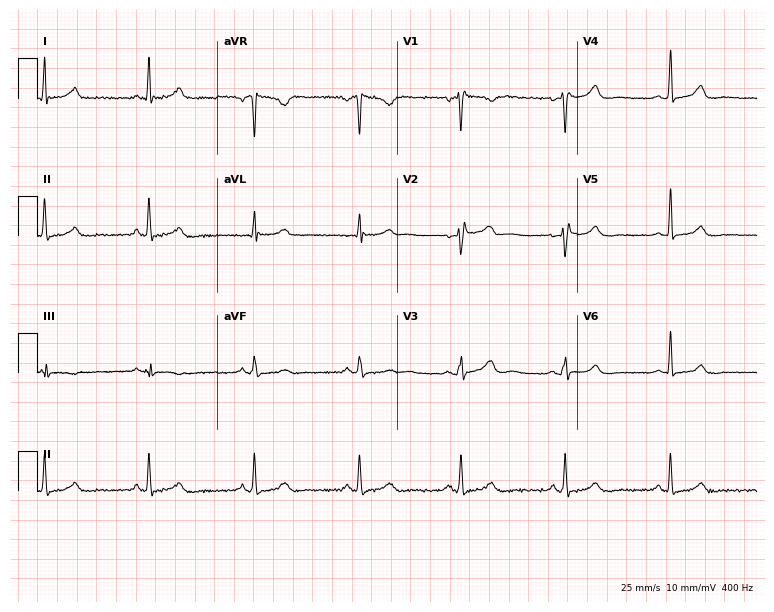
ECG — a woman, 42 years old. Labelled as a normal ECG.